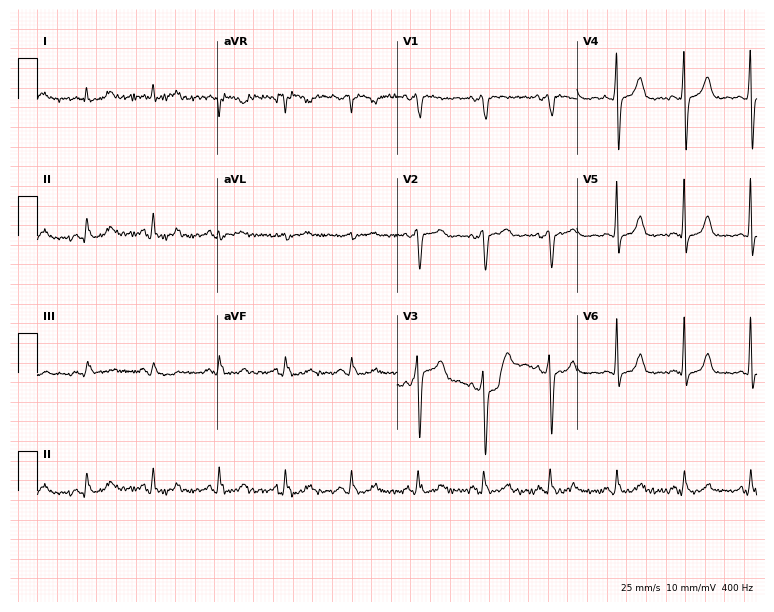
12-lead ECG from a 74-year-old man. Recorded interpretation: within normal limits.